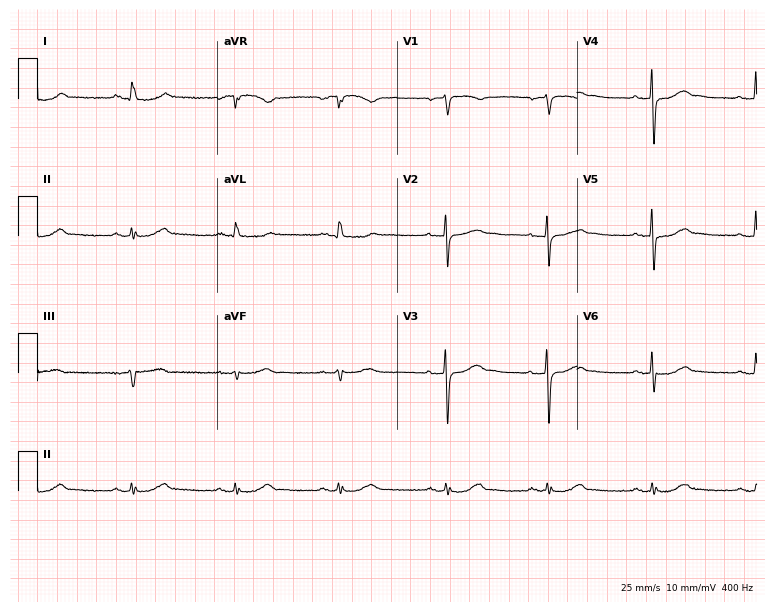
12-lead ECG from a 64-year-old female. Labelled as a normal ECG.